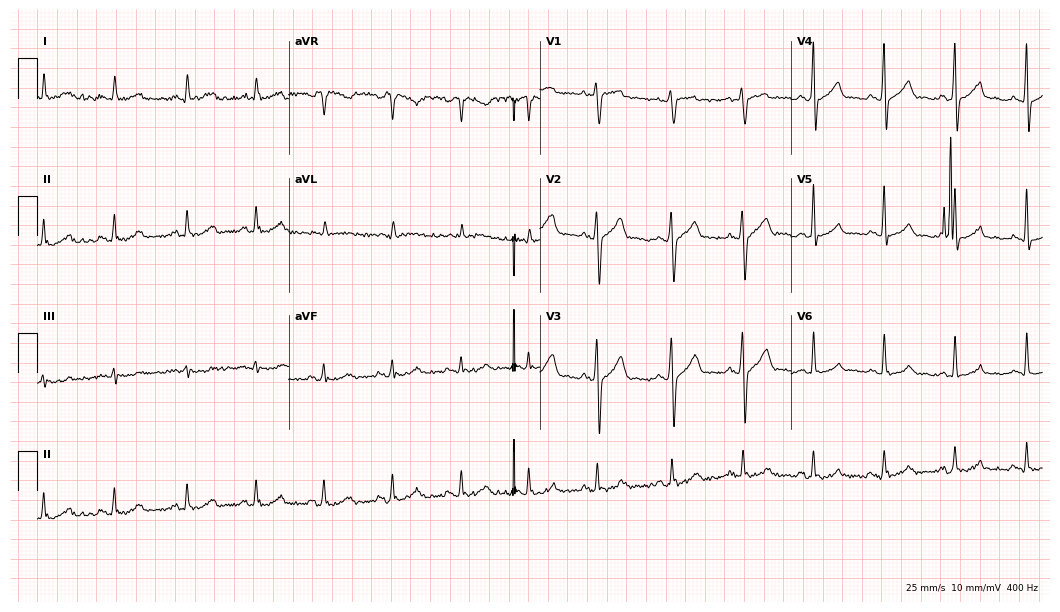
12-lead ECG from a 59-year-old man. Labelled as a normal ECG.